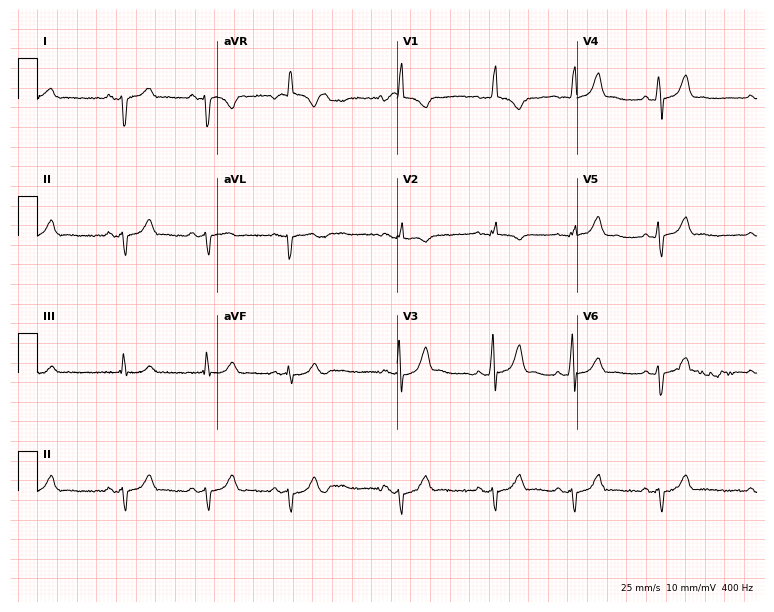
12-lead ECG from a woman, 22 years old. Screened for six findings — first-degree AV block, right bundle branch block (RBBB), left bundle branch block (LBBB), sinus bradycardia, atrial fibrillation (AF), sinus tachycardia — none is recorded.